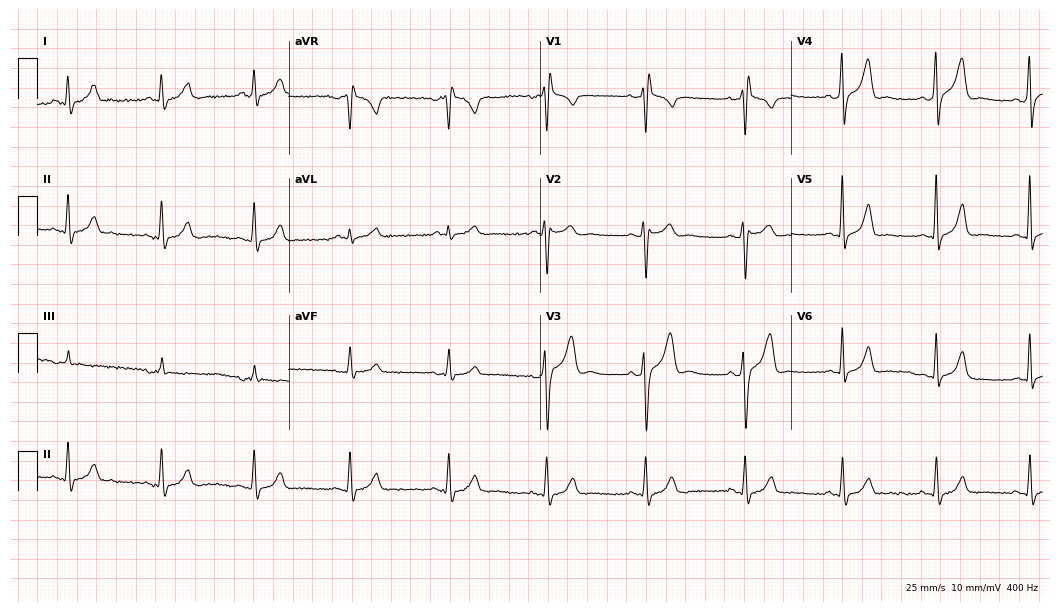
ECG — a 31-year-old woman. Screened for six findings — first-degree AV block, right bundle branch block (RBBB), left bundle branch block (LBBB), sinus bradycardia, atrial fibrillation (AF), sinus tachycardia — none is recorded.